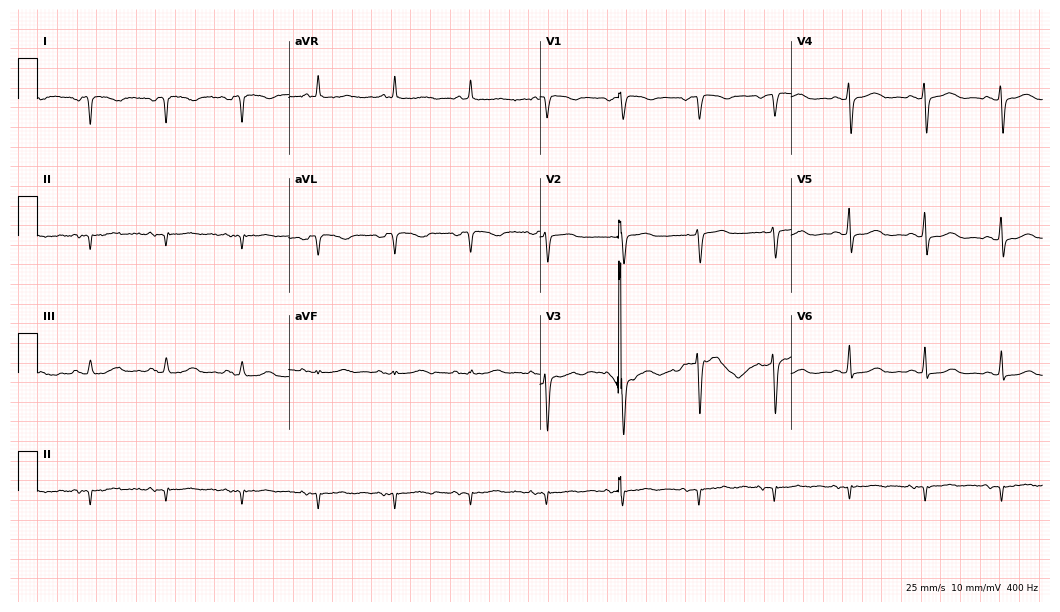
12-lead ECG from an 85-year-old female patient. Screened for six findings — first-degree AV block, right bundle branch block, left bundle branch block, sinus bradycardia, atrial fibrillation, sinus tachycardia — none is recorded.